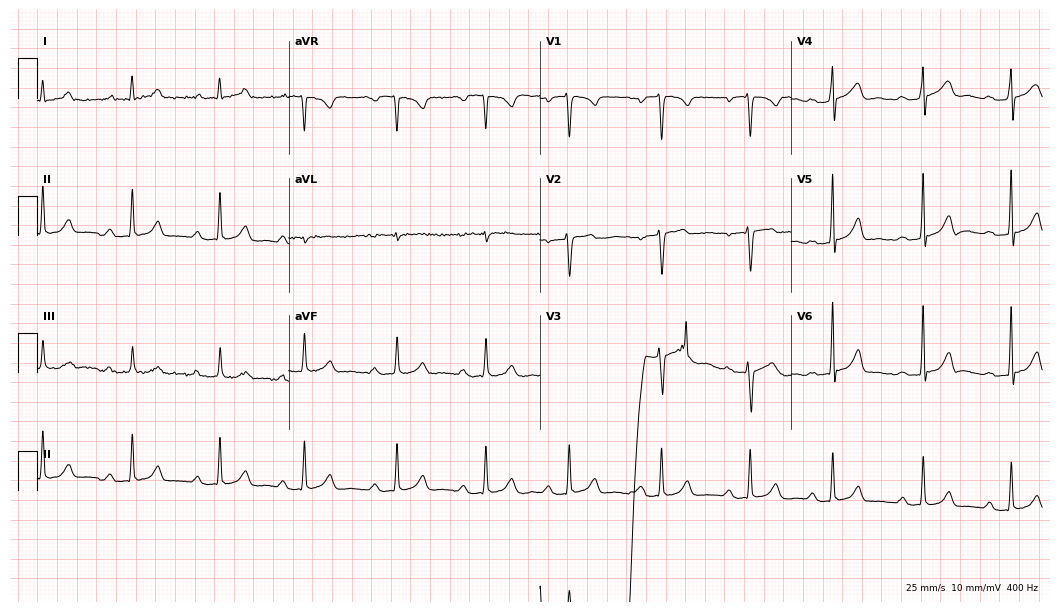
Standard 12-lead ECG recorded from a female, 30 years old (10.2-second recording at 400 Hz). None of these six findings is recorded: first-degree AV block, right bundle branch block (RBBB), left bundle branch block (LBBB), sinus bradycardia, atrial fibrillation (AF), sinus tachycardia.